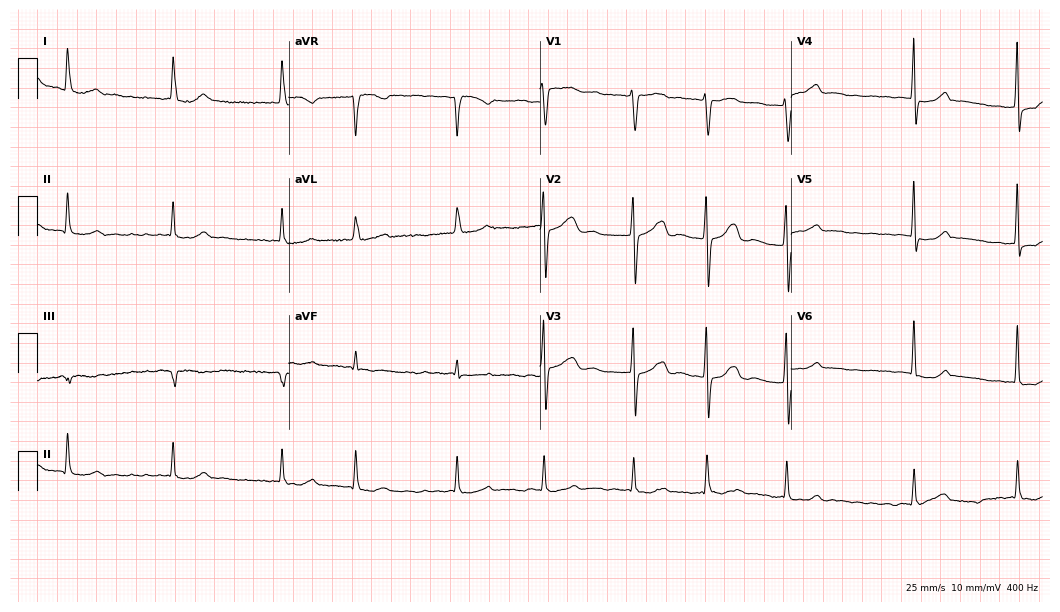
12-lead ECG from an 82-year-old female. Shows atrial fibrillation (AF).